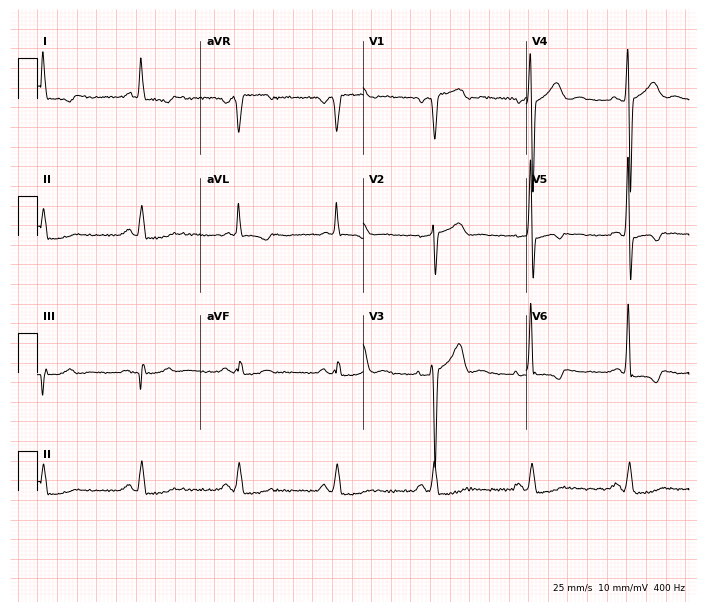
Standard 12-lead ECG recorded from a 64-year-old male (6.6-second recording at 400 Hz). None of these six findings is recorded: first-degree AV block, right bundle branch block, left bundle branch block, sinus bradycardia, atrial fibrillation, sinus tachycardia. Other findings, if any, are not listed.